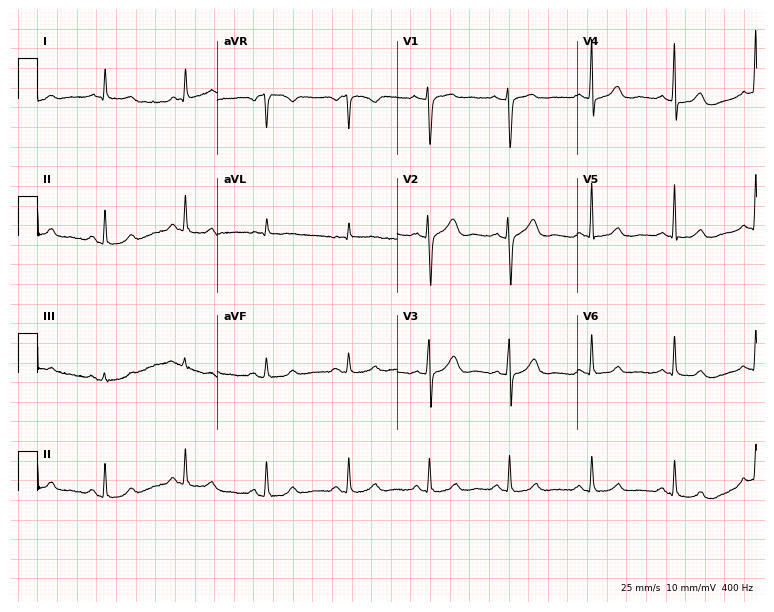
ECG — a 54-year-old female. Labelled as a normal ECG.